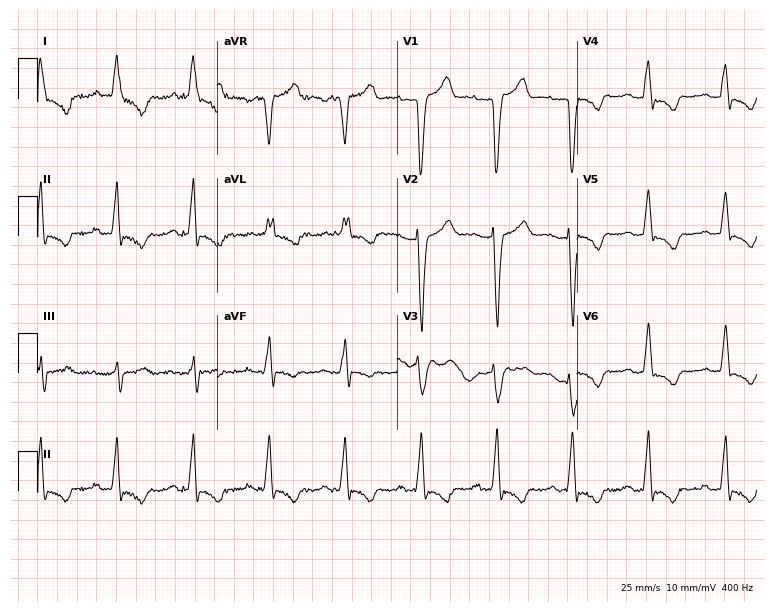
12-lead ECG (7.3-second recording at 400 Hz) from a woman, 81 years old. Findings include left bundle branch block.